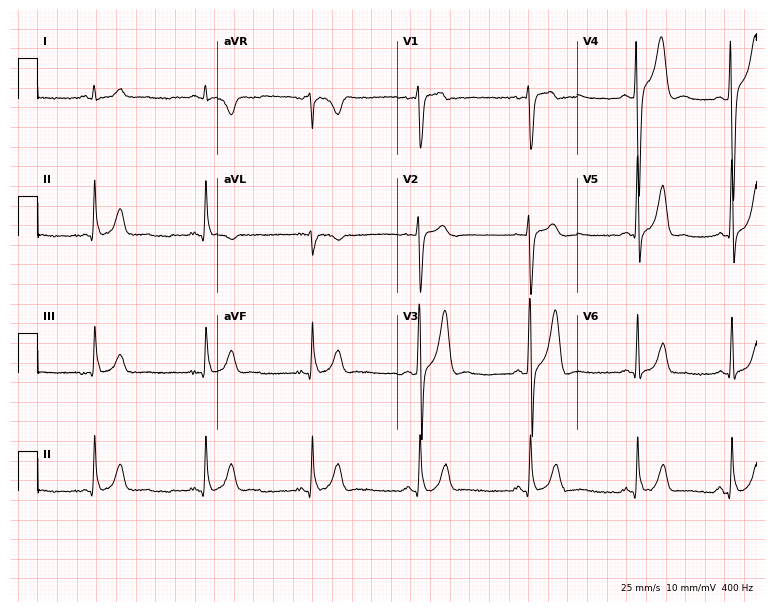
12-lead ECG from a 19-year-old man (7.3-second recording at 400 Hz). No first-degree AV block, right bundle branch block, left bundle branch block, sinus bradycardia, atrial fibrillation or sinus tachycardia recorded for this tracing. Only these six findings were labelled.